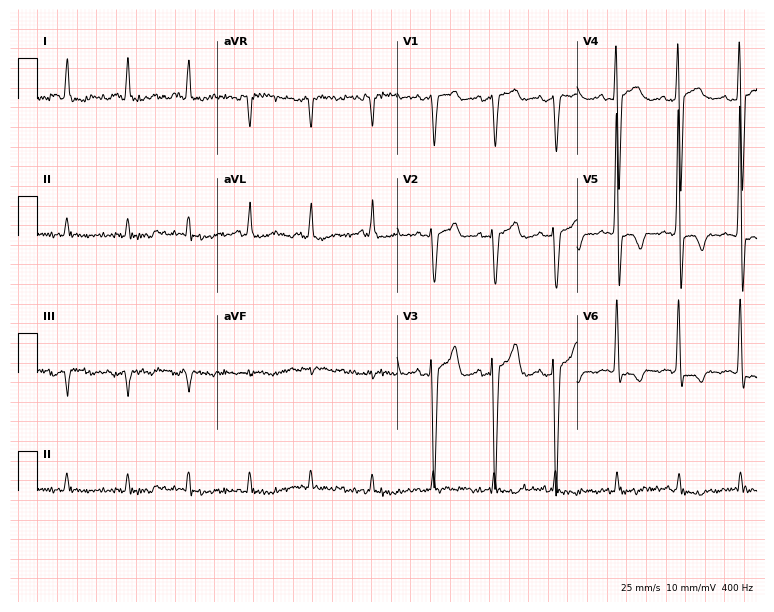
Electrocardiogram (7.3-second recording at 400 Hz), a 64-year-old male. Of the six screened findings (first-degree AV block, right bundle branch block, left bundle branch block, sinus bradycardia, atrial fibrillation, sinus tachycardia), none is recorded.